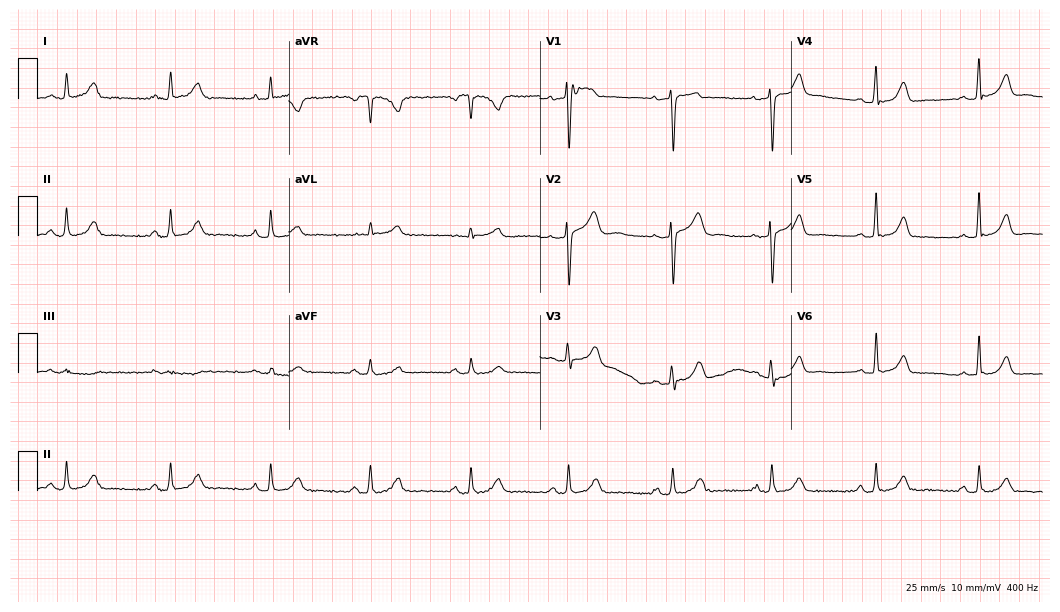
Resting 12-lead electrocardiogram. Patient: a male, 43 years old. Read as a normal ECG.